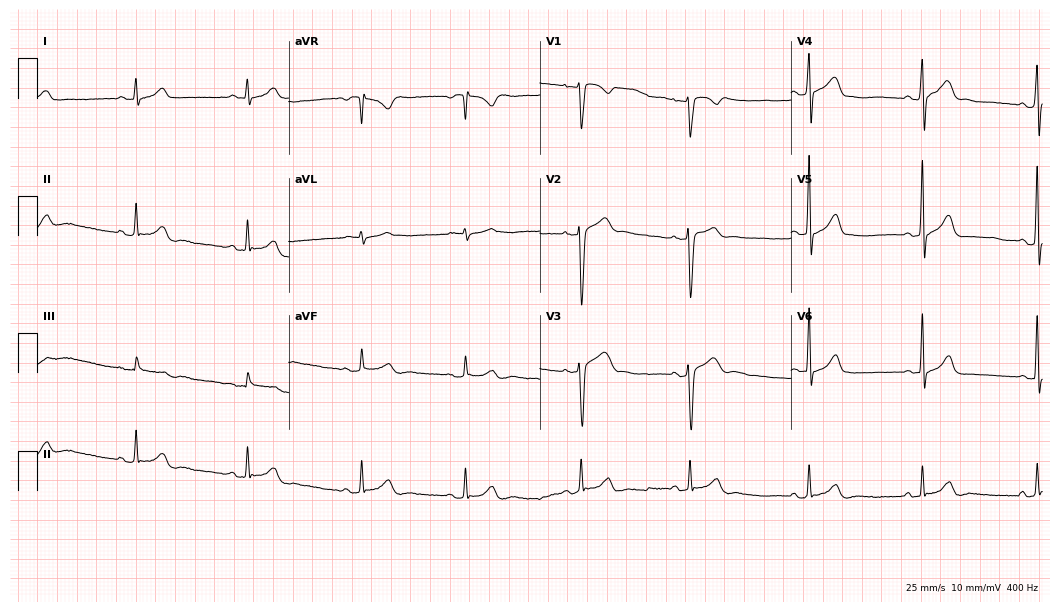
12-lead ECG from a man, 19 years old. Labelled as a normal ECG.